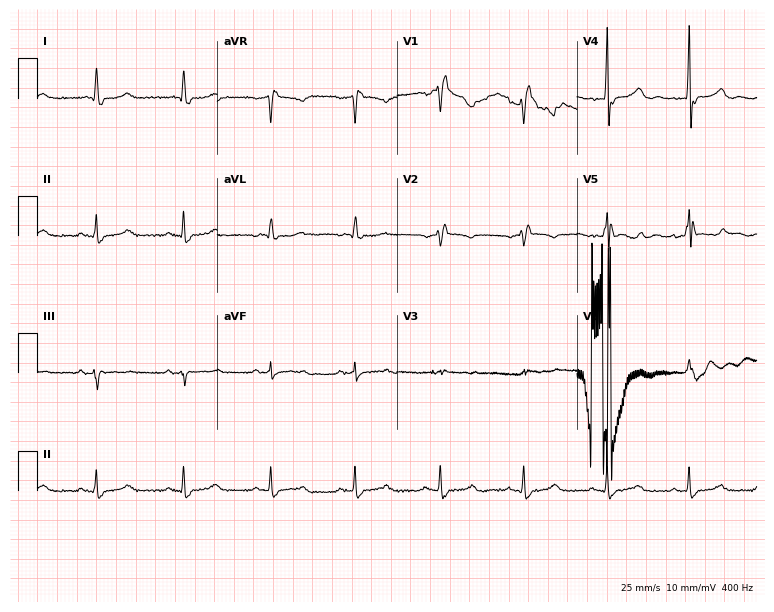
Standard 12-lead ECG recorded from an 80-year-old man (7.3-second recording at 400 Hz). The tracing shows right bundle branch block.